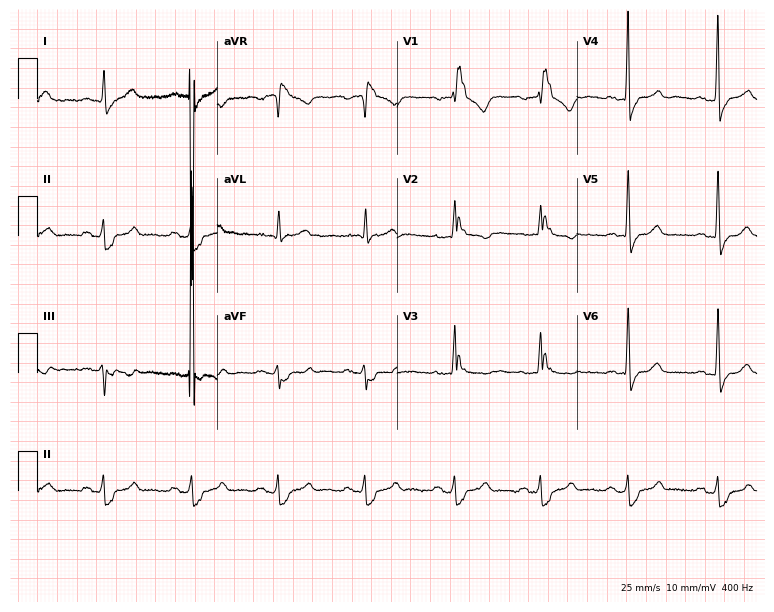
Resting 12-lead electrocardiogram (7.3-second recording at 400 Hz). Patient: a 68-year-old female. The tracing shows right bundle branch block.